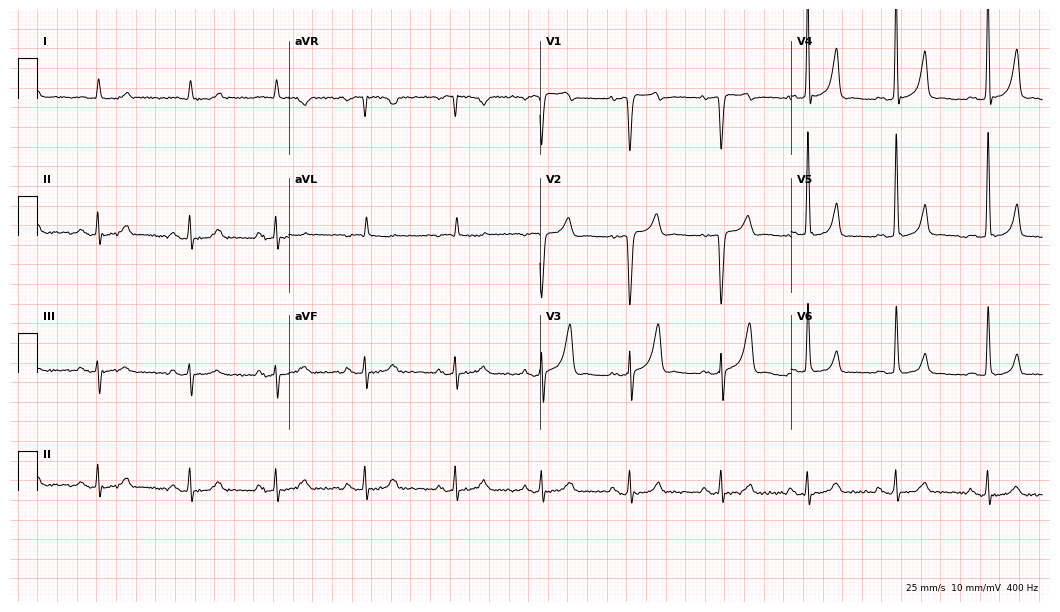
ECG (10.2-second recording at 400 Hz) — a male, 70 years old. Screened for six findings — first-degree AV block, right bundle branch block, left bundle branch block, sinus bradycardia, atrial fibrillation, sinus tachycardia — none is recorded.